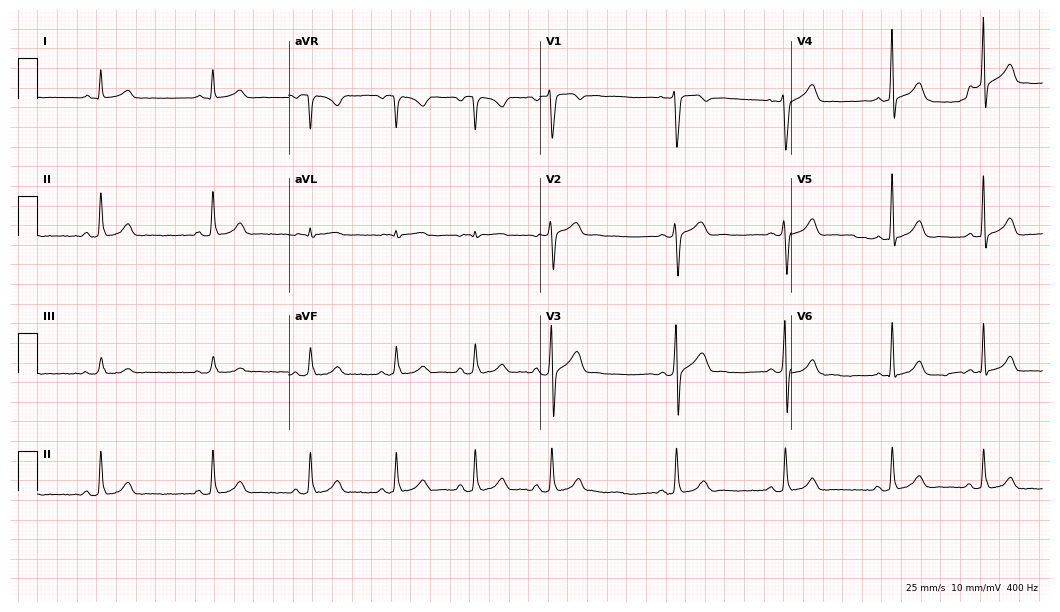
Electrocardiogram, a 19-year-old male. Overall reading on record: normal ECG.